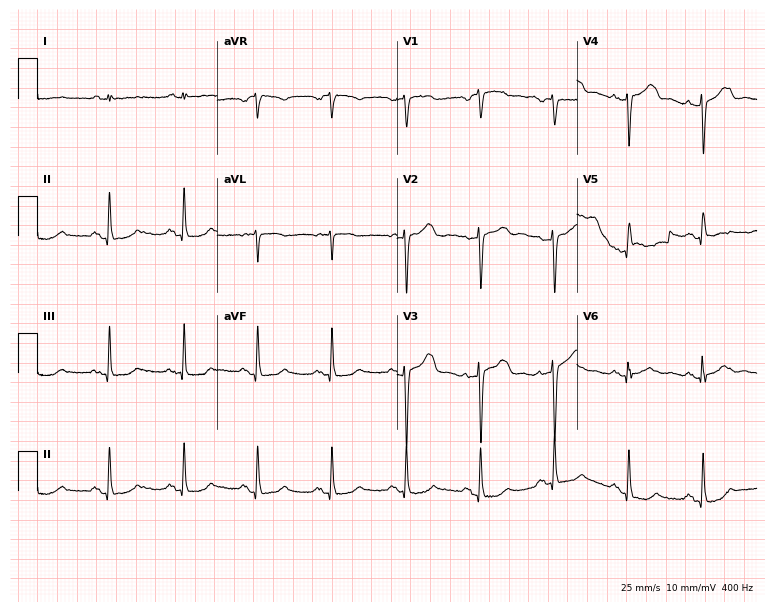
12-lead ECG (7.3-second recording at 400 Hz) from a woman, 60 years old. Screened for six findings — first-degree AV block, right bundle branch block, left bundle branch block, sinus bradycardia, atrial fibrillation, sinus tachycardia — none is recorded.